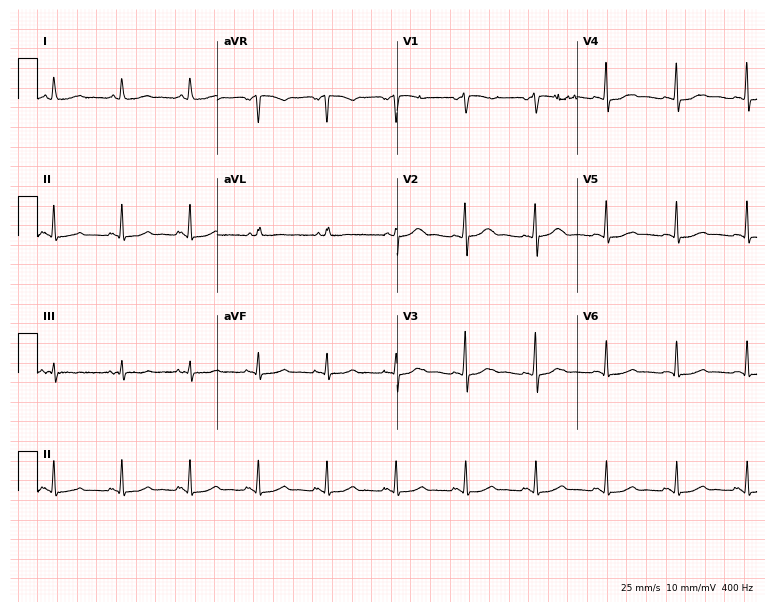
12-lead ECG from a woman, 57 years old. Labelled as a normal ECG.